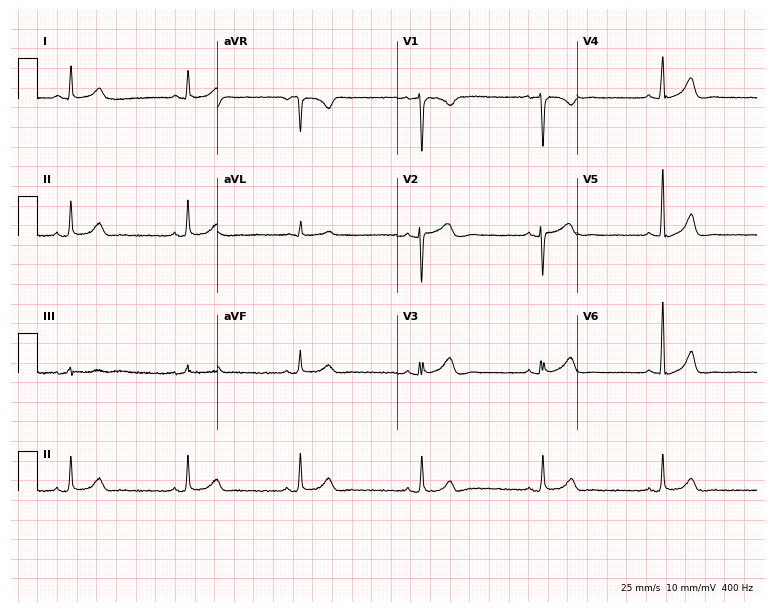
12-lead ECG from a woman, 39 years old. No first-degree AV block, right bundle branch block, left bundle branch block, sinus bradycardia, atrial fibrillation or sinus tachycardia recorded for this tracing. Other findings, if any, are not listed.